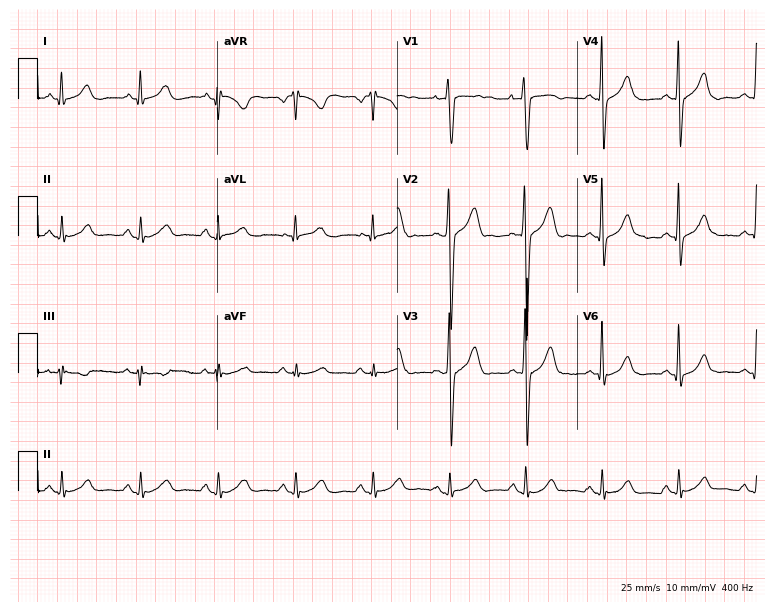
ECG — a 37-year-old male patient. Labelled as a normal ECG.